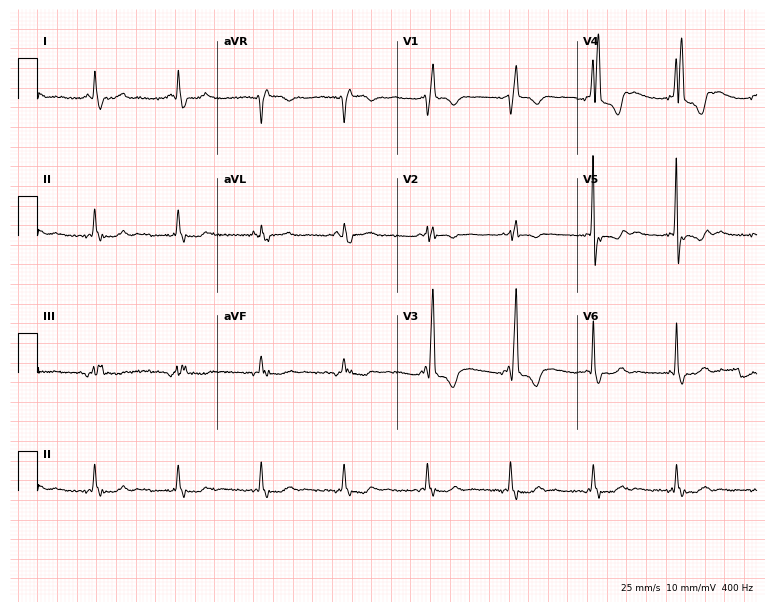
Resting 12-lead electrocardiogram. Patient: a 72-year-old male. None of these six findings is recorded: first-degree AV block, right bundle branch block, left bundle branch block, sinus bradycardia, atrial fibrillation, sinus tachycardia. Only these six findings were labelled.